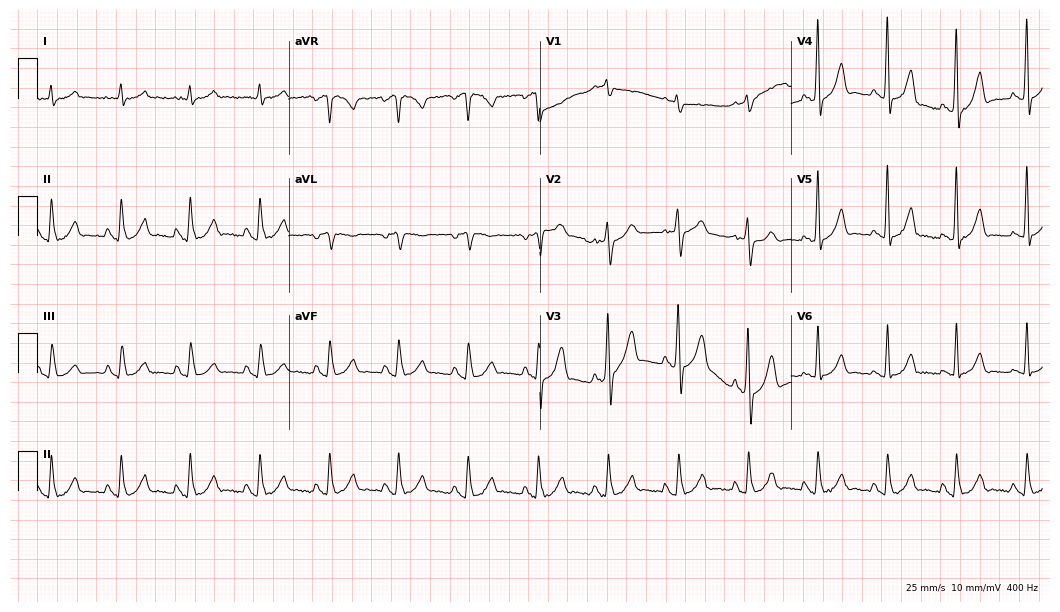
Standard 12-lead ECG recorded from a man, 58 years old (10.2-second recording at 400 Hz). Read as a normal ECG.